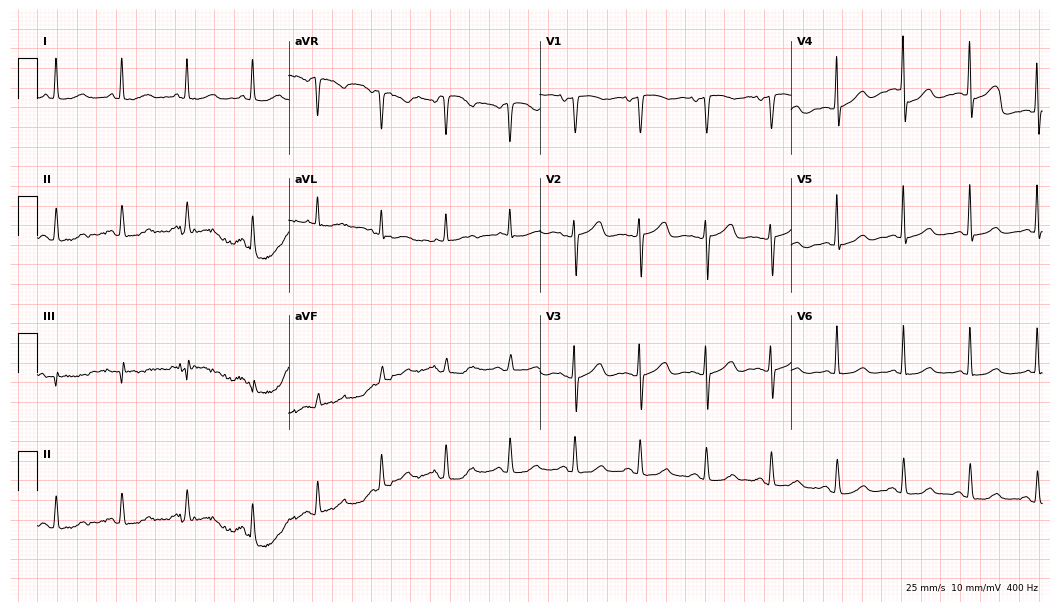
12-lead ECG (10.2-second recording at 400 Hz) from a woman, 80 years old. Labelled as a normal ECG.